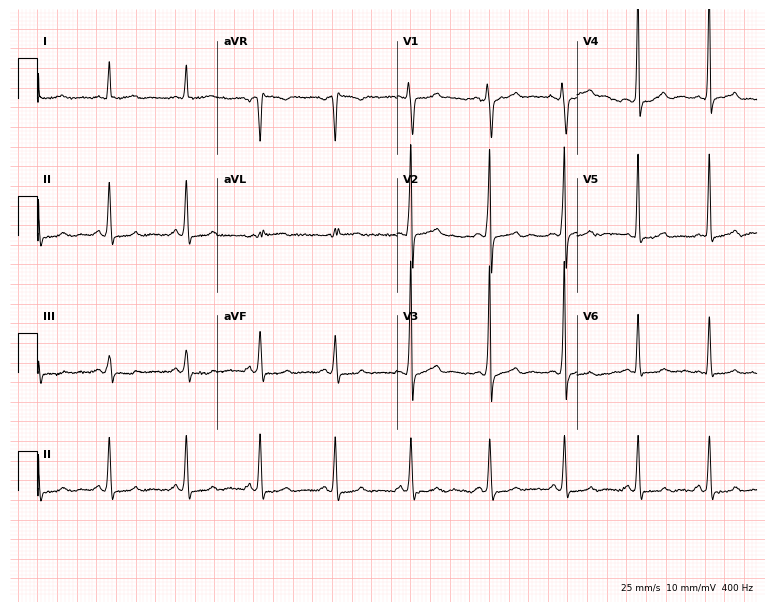
ECG (7.3-second recording at 400 Hz) — a 34-year-old male. Screened for six findings — first-degree AV block, right bundle branch block, left bundle branch block, sinus bradycardia, atrial fibrillation, sinus tachycardia — none is recorded.